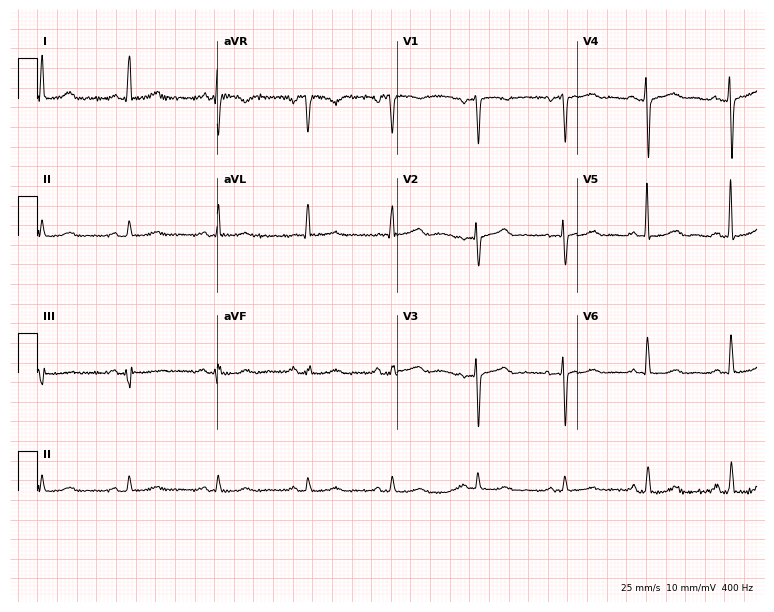
12-lead ECG from a 73-year-old female. Screened for six findings — first-degree AV block, right bundle branch block (RBBB), left bundle branch block (LBBB), sinus bradycardia, atrial fibrillation (AF), sinus tachycardia — none is recorded. Only these six findings were labelled.